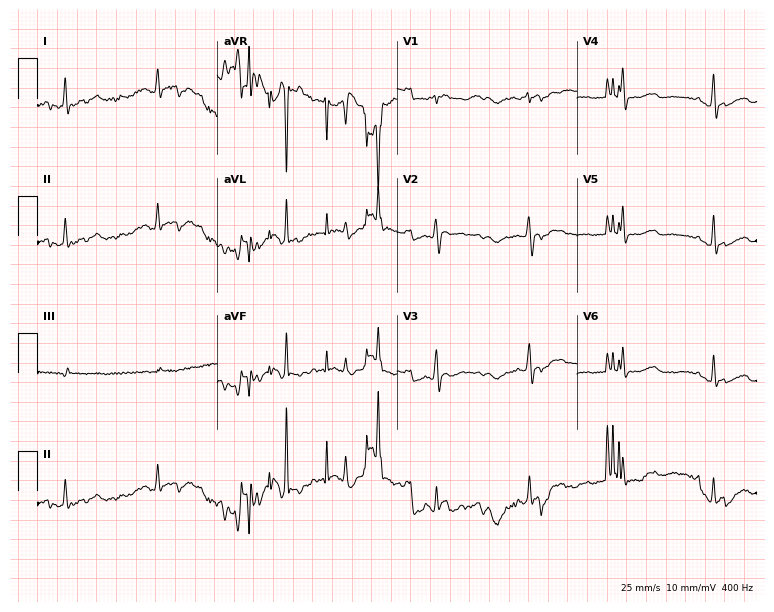
Resting 12-lead electrocardiogram (7.3-second recording at 400 Hz). Patient: a 51-year-old woman. None of these six findings is recorded: first-degree AV block, right bundle branch block, left bundle branch block, sinus bradycardia, atrial fibrillation, sinus tachycardia. Other findings, if any, are not listed.